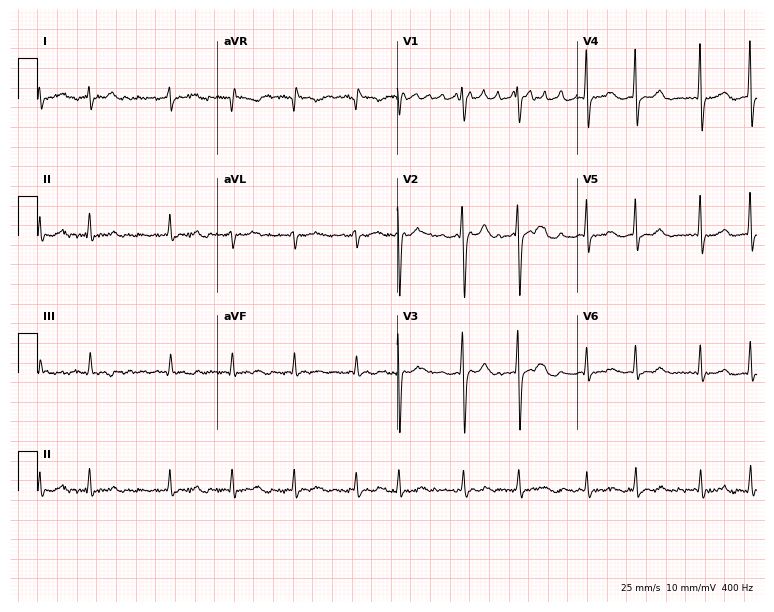
Standard 12-lead ECG recorded from a woman, 65 years old. The tracing shows atrial fibrillation.